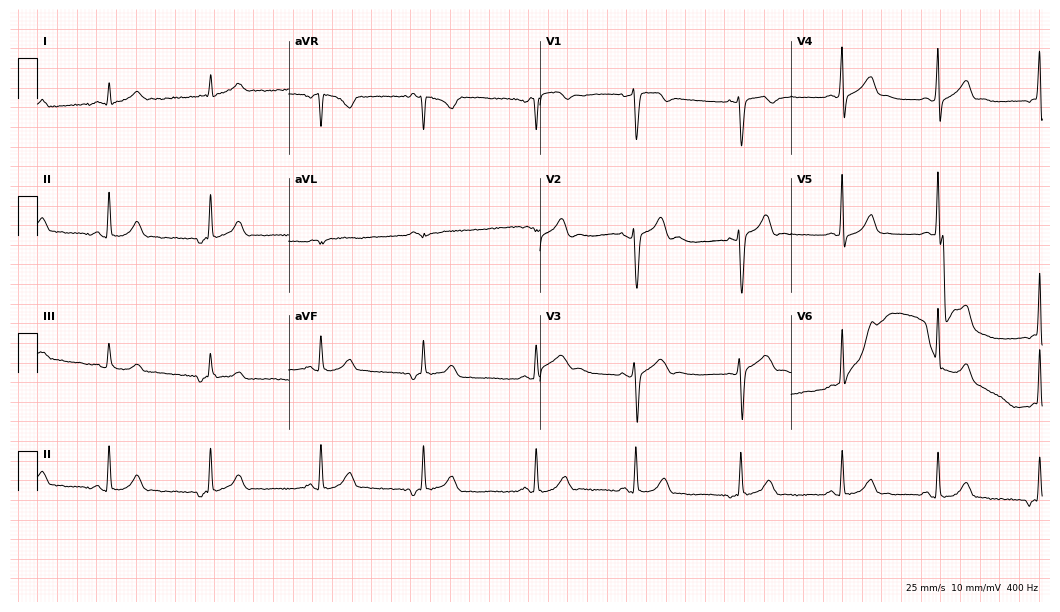
Resting 12-lead electrocardiogram (10.2-second recording at 400 Hz). Patient: a man, 38 years old. None of these six findings is recorded: first-degree AV block, right bundle branch block, left bundle branch block, sinus bradycardia, atrial fibrillation, sinus tachycardia.